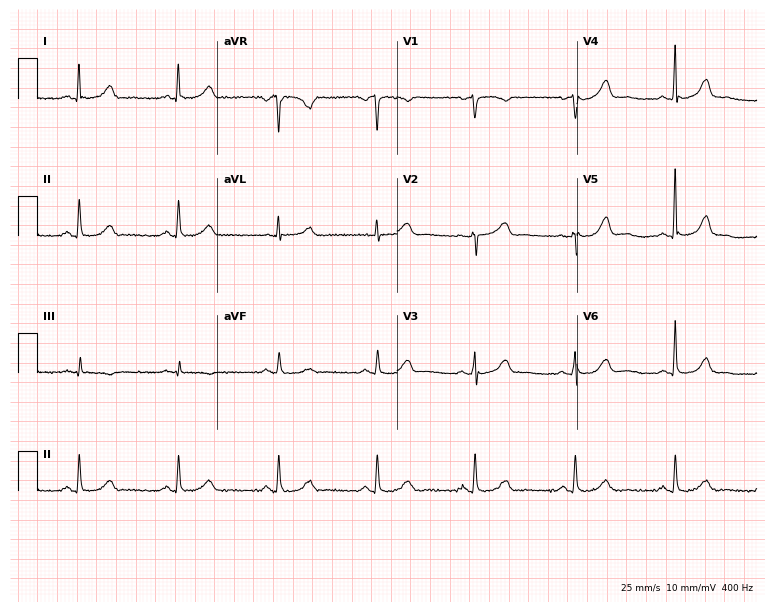
Resting 12-lead electrocardiogram. Patient: a 69-year-old female. None of these six findings is recorded: first-degree AV block, right bundle branch block, left bundle branch block, sinus bradycardia, atrial fibrillation, sinus tachycardia. Findings outside these six are not listed.